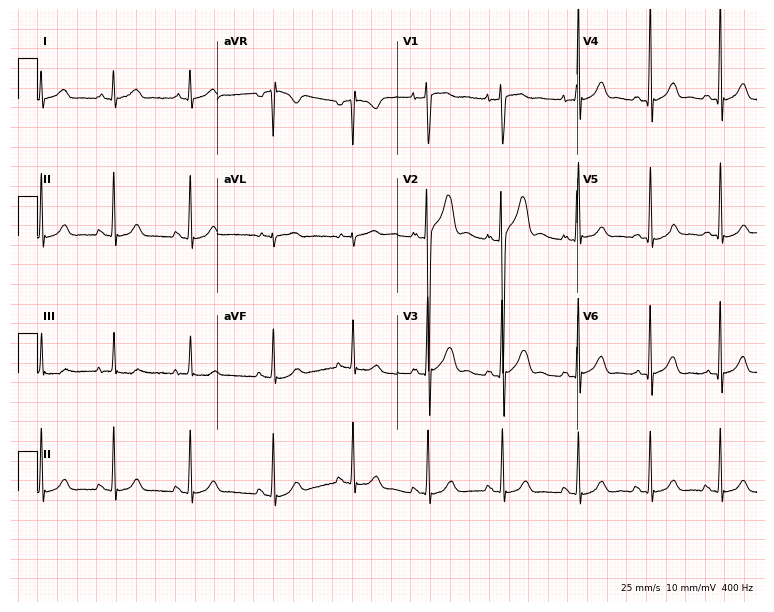
12-lead ECG from a 22-year-old male patient. Recorded interpretation: within normal limits.